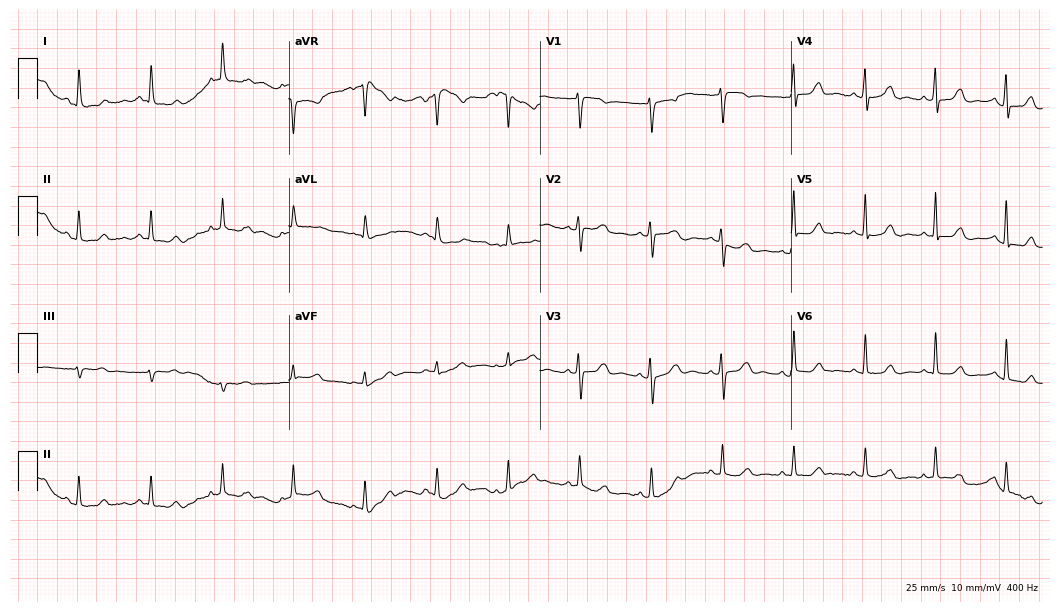
Electrocardiogram (10.2-second recording at 400 Hz), a female, 79 years old. Of the six screened findings (first-degree AV block, right bundle branch block (RBBB), left bundle branch block (LBBB), sinus bradycardia, atrial fibrillation (AF), sinus tachycardia), none is recorded. Findings outside these six are not listed.